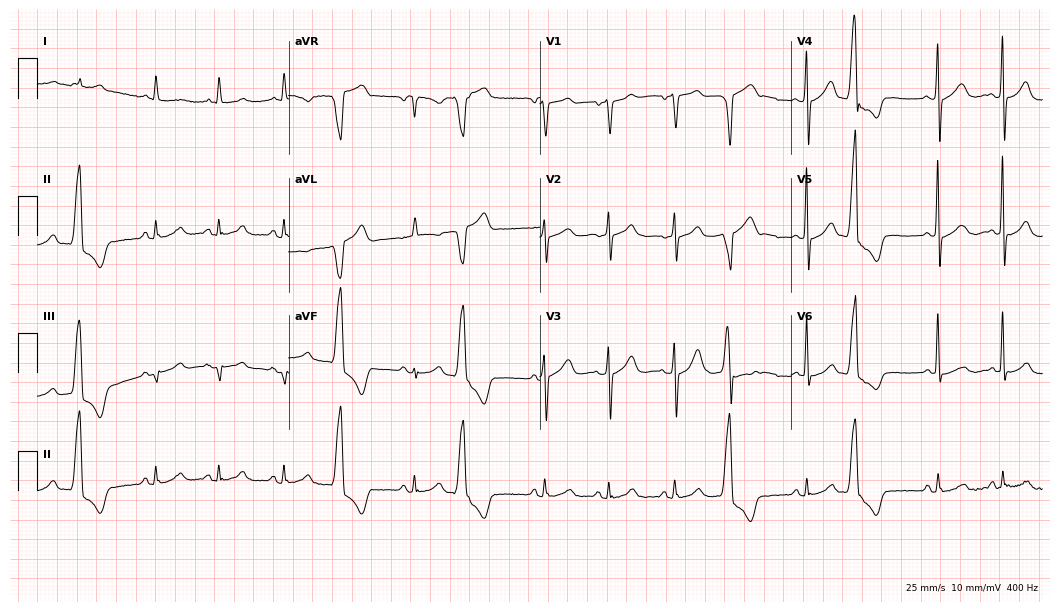
Electrocardiogram (10.2-second recording at 400 Hz), a man, 81 years old. Of the six screened findings (first-degree AV block, right bundle branch block (RBBB), left bundle branch block (LBBB), sinus bradycardia, atrial fibrillation (AF), sinus tachycardia), none is recorded. Findings outside these six are not listed.